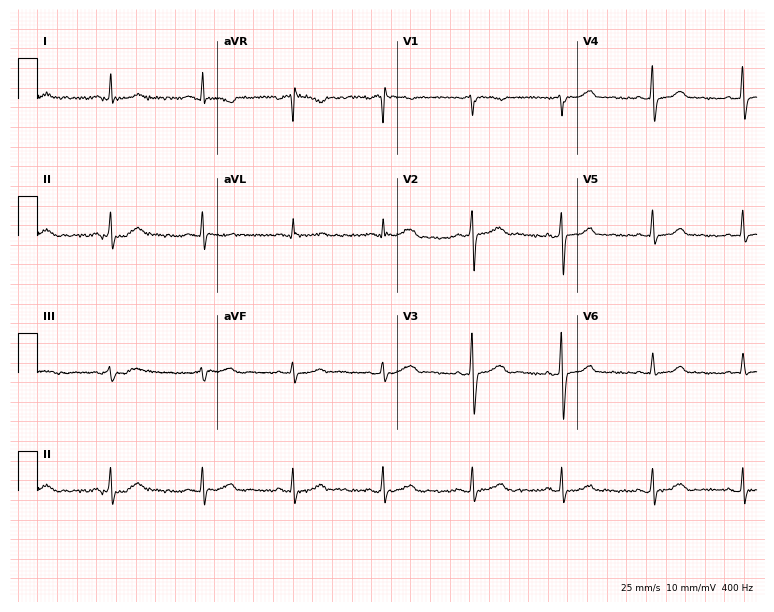
12-lead ECG (7.3-second recording at 400 Hz) from a female patient, 55 years old. Labelled as a normal ECG.